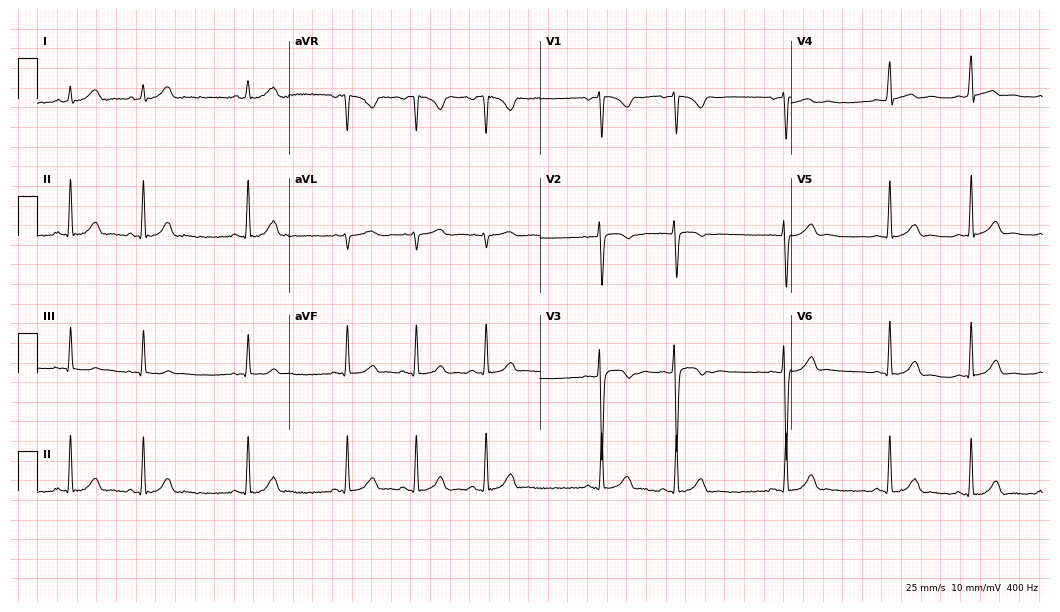
ECG (10.2-second recording at 400 Hz) — a 19-year-old woman. Labelled as a normal ECG.